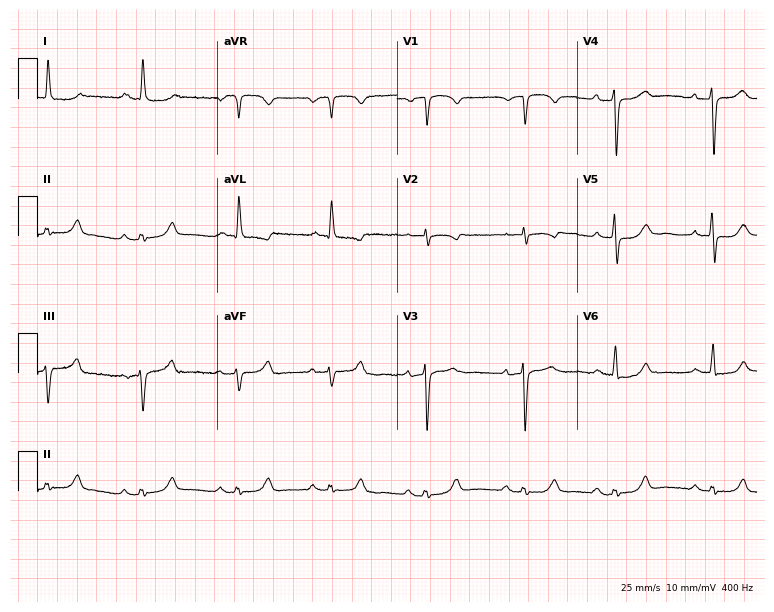
Electrocardiogram, a woman, 78 years old. Of the six screened findings (first-degree AV block, right bundle branch block, left bundle branch block, sinus bradycardia, atrial fibrillation, sinus tachycardia), none is recorded.